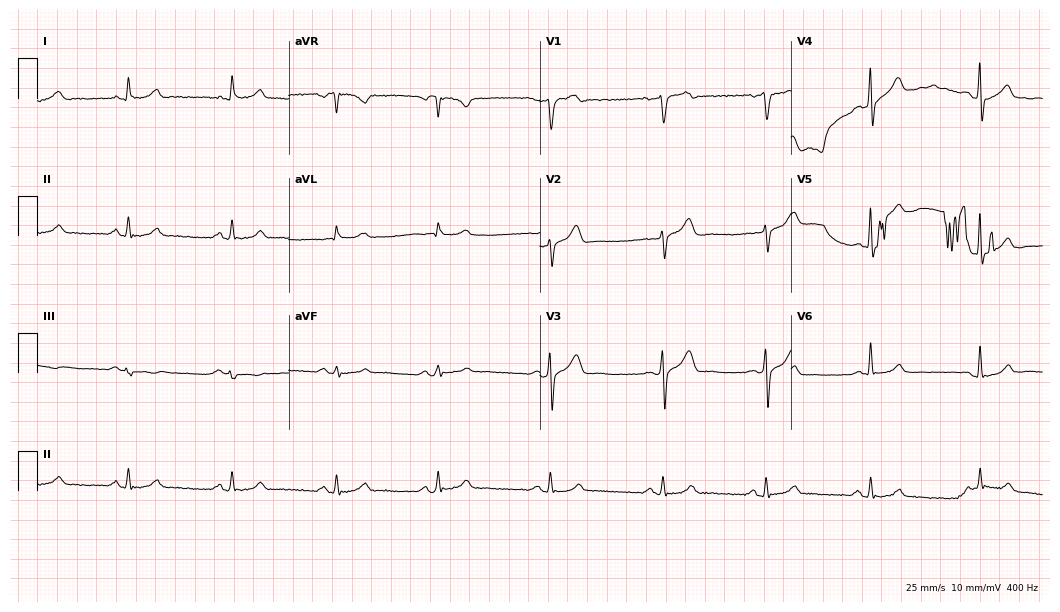
ECG — a male, 40 years old. Screened for six findings — first-degree AV block, right bundle branch block, left bundle branch block, sinus bradycardia, atrial fibrillation, sinus tachycardia — none is recorded. Only these six findings were labelled.